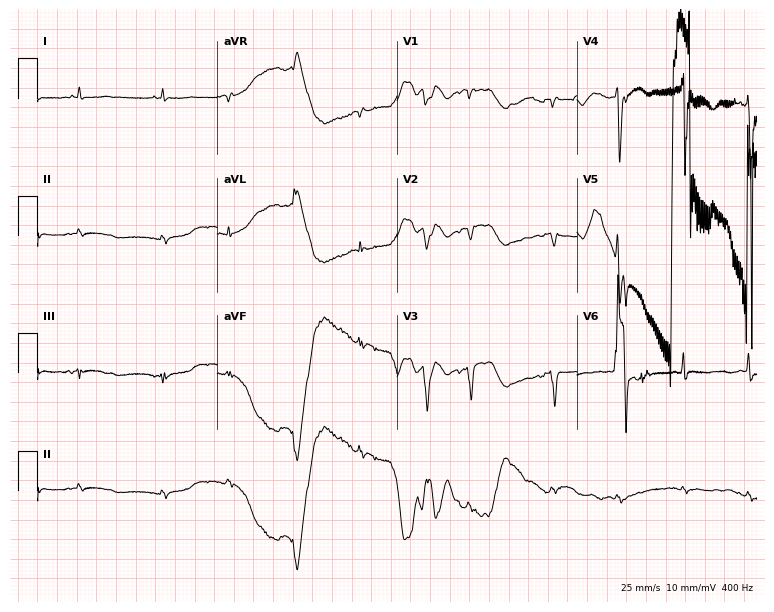
ECG (7.3-second recording at 400 Hz) — an 83-year-old female patient. Screened for six findings — first-degree AV block, right bundle branch block, left bundle branch block, sinus bradycardia, atrial fibrillation, sinus tachycardia — none is recorded.